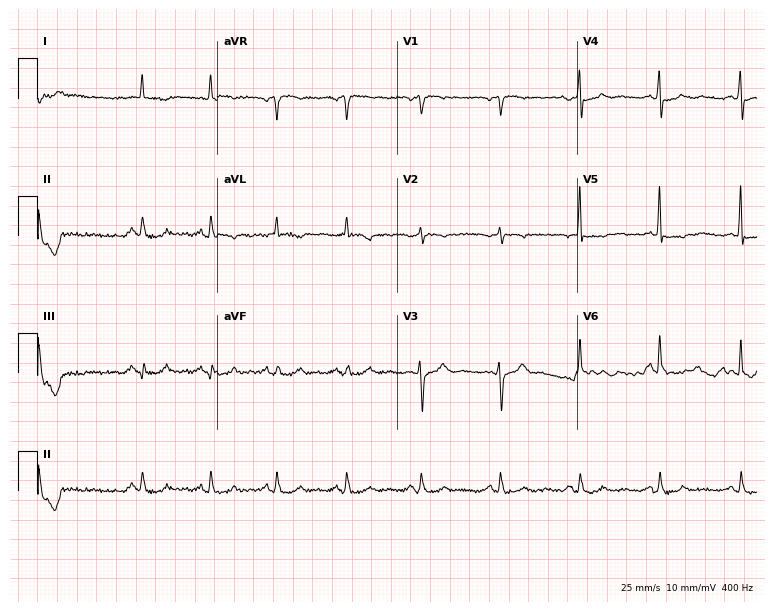
Electrocardiogram, a man, 81 years old. Of the six screened findings (first-degree AV block, right bundle branch block (RBBB), left bundle branch block (LBBB), sinus bradycardia, atrial fibrillation (AF), sinus tachycardia), none is recorded.